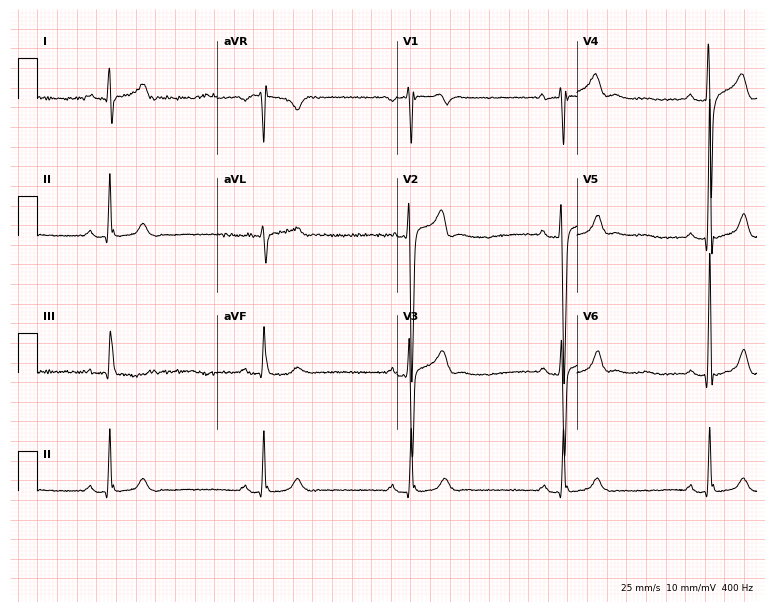
Electrocardiogram, a male patient, 35 years old. Of the six screened findings (first-degree AV block, right bundle branch block, left bundle branch block, sinus bradycardia, atrial fibrillation, sinus tachycardia), none is recorded. Findings outside these six are not listed.